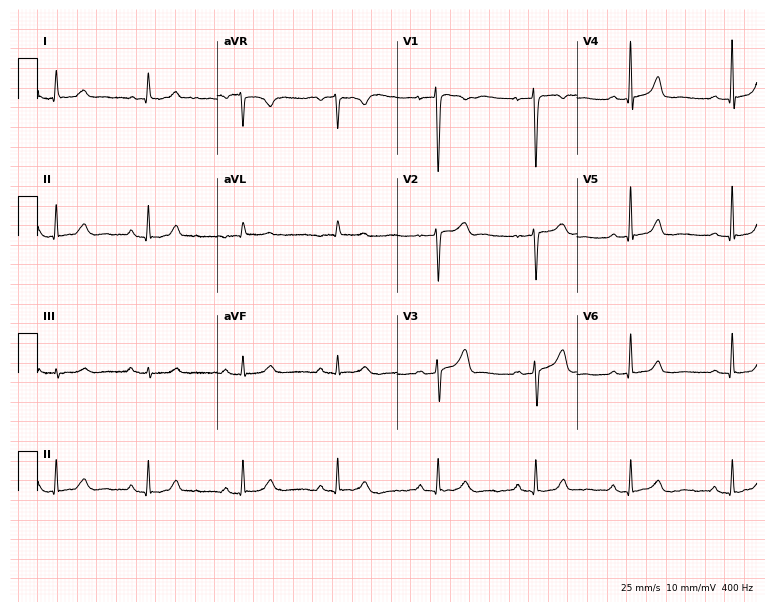
12-lead ECG from a woman, 45 years old. Recorded interpretation: within normal limits.